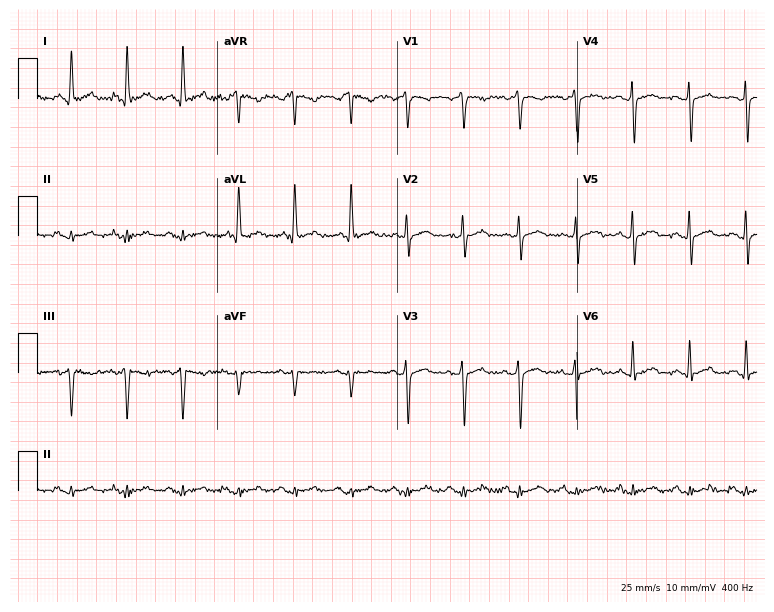
12-lead ECG from a 39-year-old male patient. Screened for six findings — first-degree AV block, right bundle branch block, left bundle branch block, sinus bradycardia, atrial fibrillation, sinus tachycardia — none is recorded. Only these six findings were labelled.